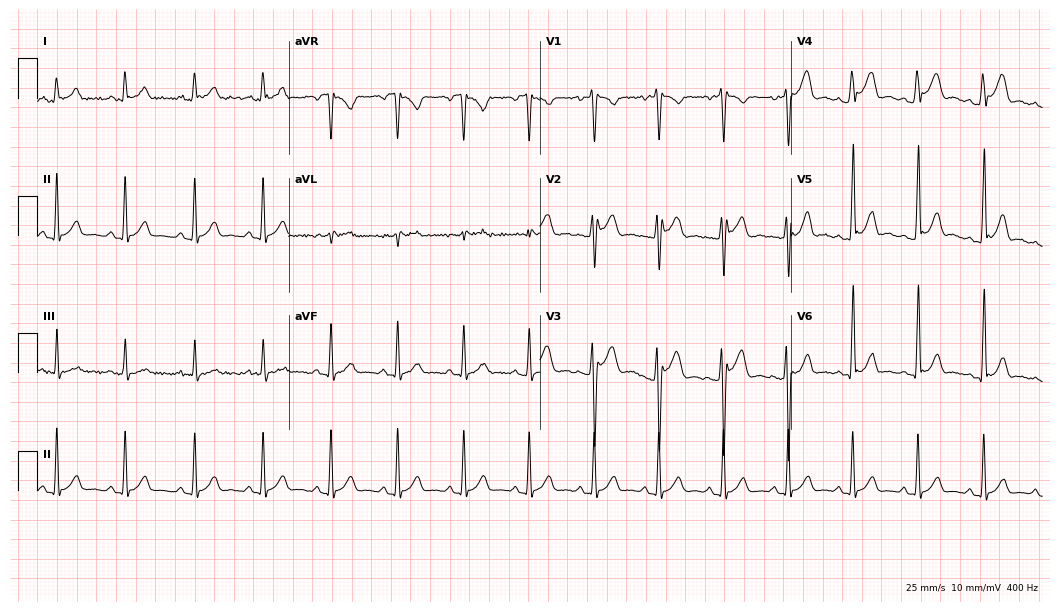
12-lead ECG (10.2-second recording at 400 Hz) from a 33-year-old male. Labelled as a normal ECG.